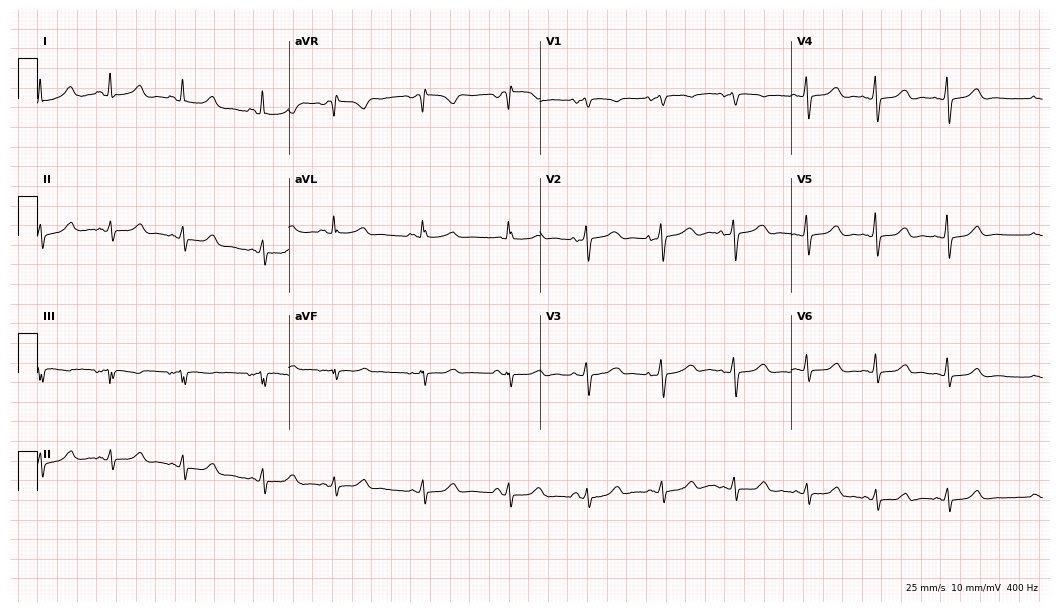
Electrocardiogram, a 51-year-old female patient. Overall reading on record: normal ECG.